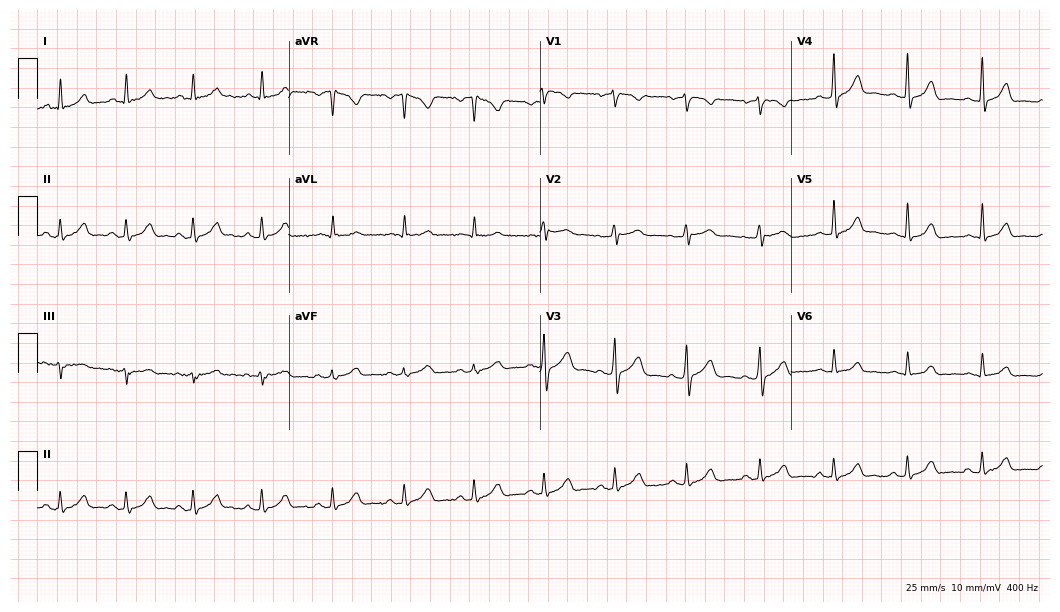
12-lead ECG from a female patient, 32 years old. Screened for six findings — first-degree AV block, right bundle branch block, left bundle branch block, sinus bradycardia, atrial fibrillation, sinus tachycardia — none is recorded. Only these six findings were labelled.